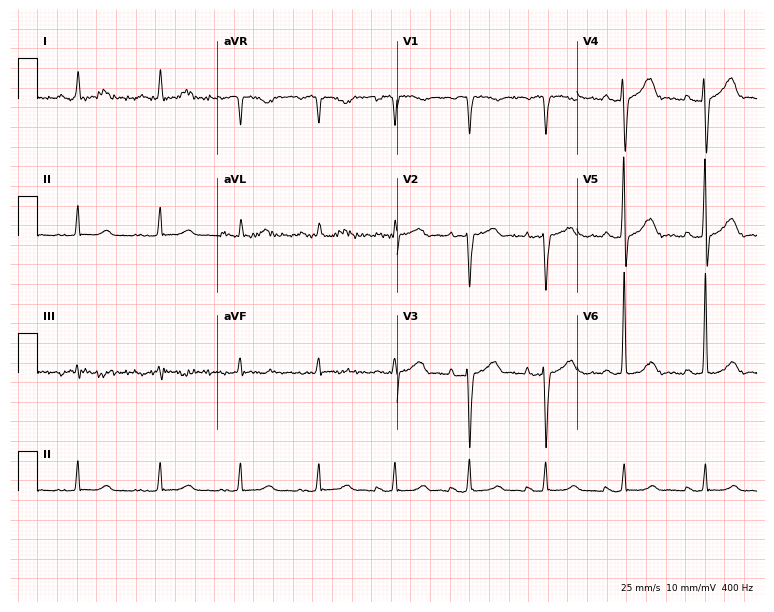
12-lead ECG from a 71-year-old female. No first-degree AV block, right bundle branch block (RBBB), left bundle branch block (LBBB), sinus bradycardia, atrial fibrillation (AF) or sinus tachycardia recorded for this tracing. Findings outside these six are not listed.